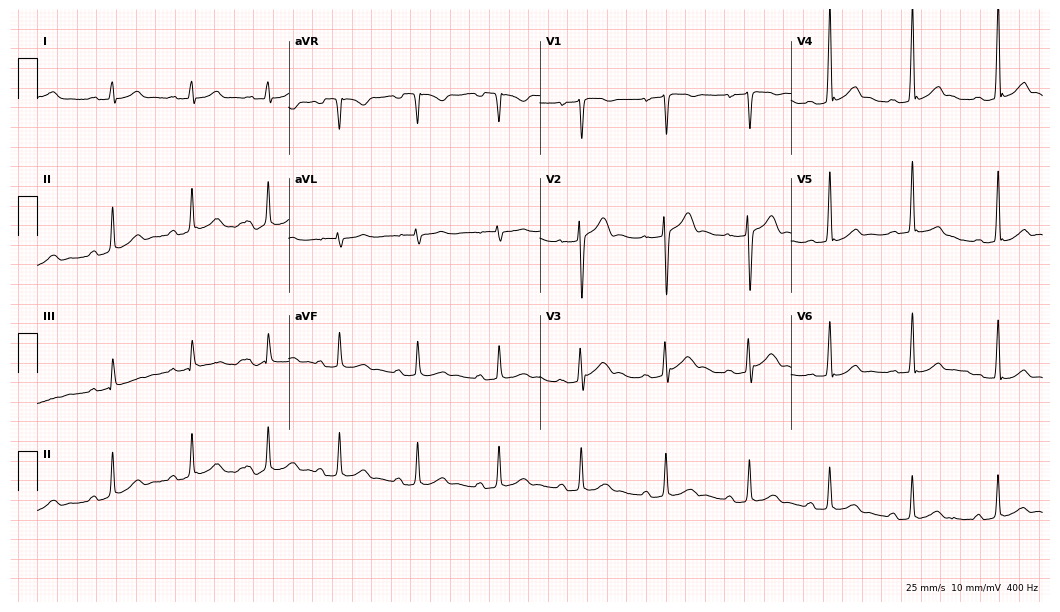
ECG — a male patient, 22 years old. Labelled as a normal ECG.